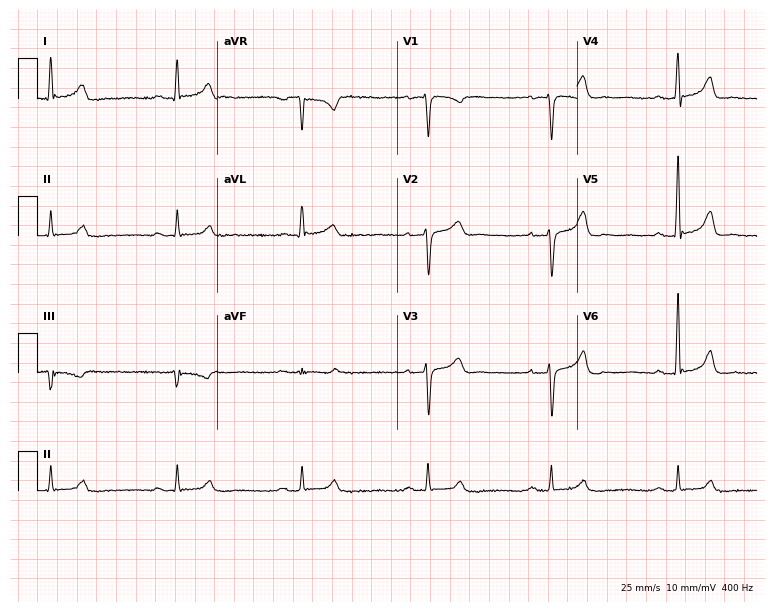
Resting 12-lead electrocardiogram (7.3-second recording at 400 Hz). Patient: a 50-year-old male. None of these six findings is recorded: first-degree AV block, right bundle branch block, left bundle branch block, sinus bradycardia, atrial fibrillation, sinus tachycardia.